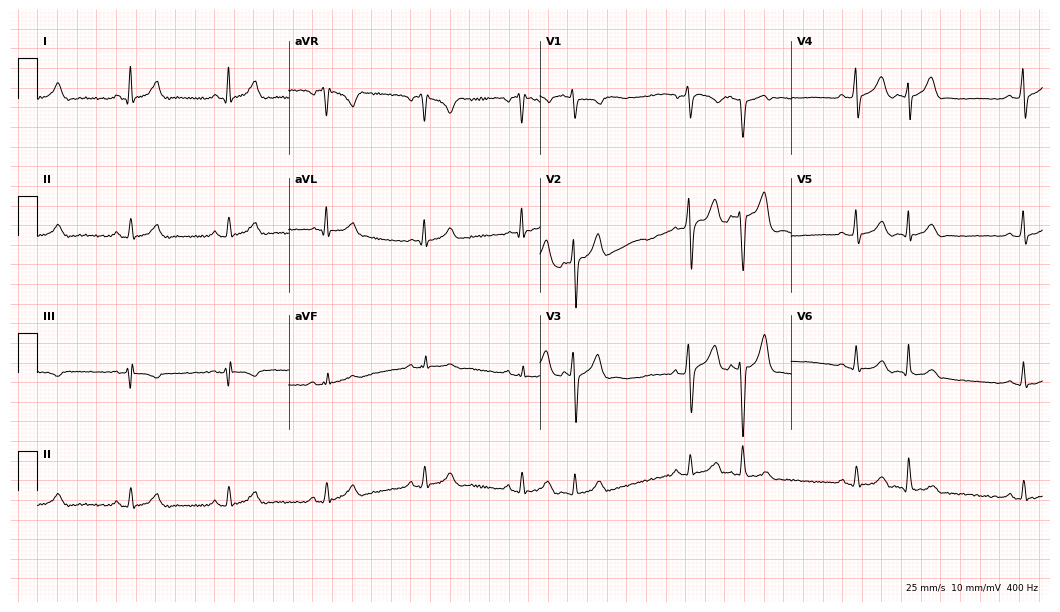
Electrocardiogram, a man, 37 years old. Of the six screened findings (first-degree AV block, right bundle branch block, left bundle branch block, sinus bradycardia, atrial fibrillation, sinus tachycardia), none is recorded.